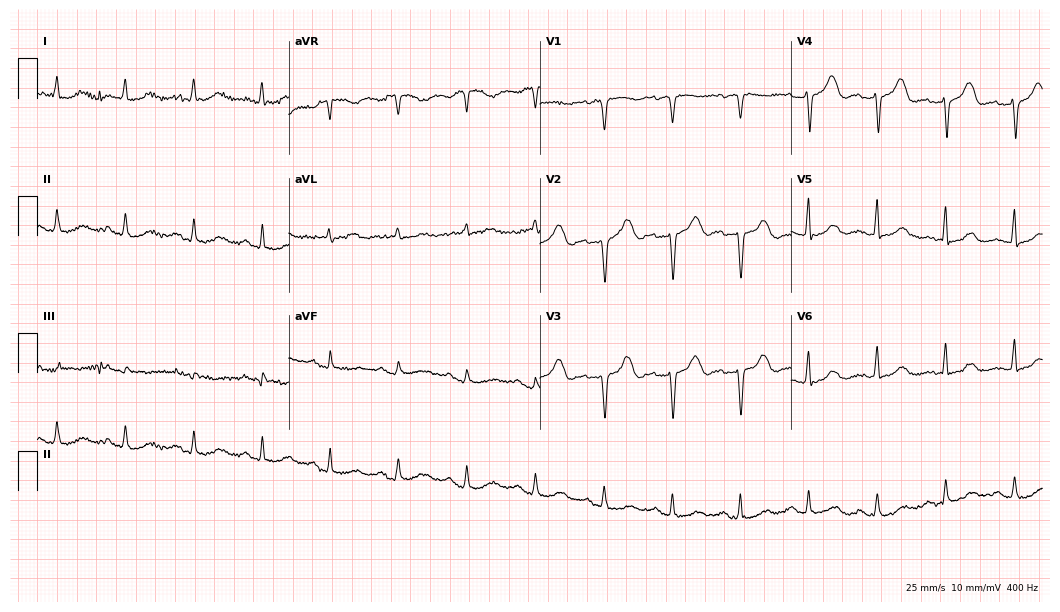
Resting 12-lead electrocardiogram. Patient: a woman, 79 years old. None of these six findings is recorded: first-degree AV block, right bundle branch block, left bundle branch block, sinus bradycardia, atrial fibrillation, sinus tachycardia.